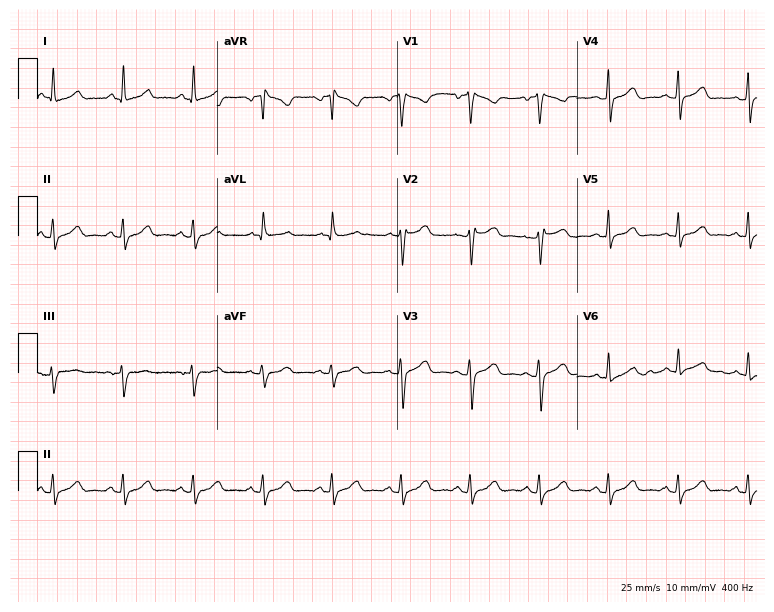
Resting 12-lead electrocardiogram. Patient: a 58-year-old female. Read as a normal ECG.